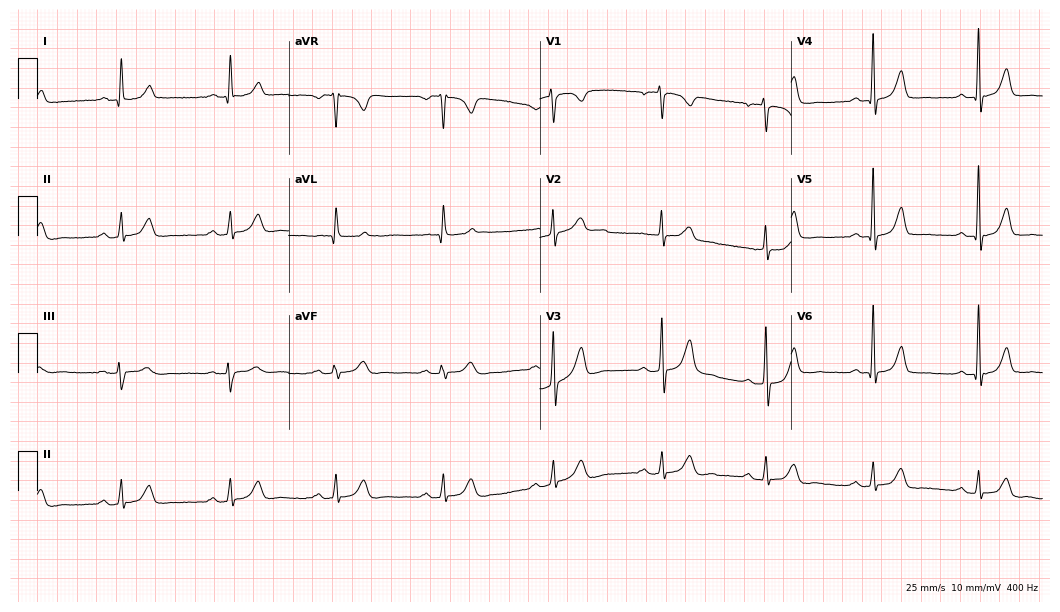
Electrocardiogram, a female, 72 years old. Overall reading on record: normal ECG.